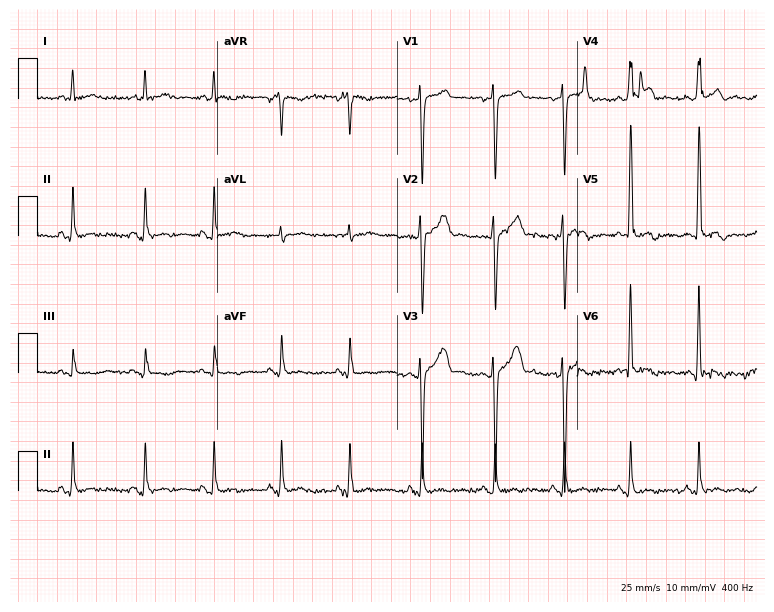
Electrocardiogram, a woman, 25 years old. Of the six screened findings (first-degree AV block, right bundle branch block, left bundle branch block, sinus bradycardia, atrial fibrillation, sinus tachycardia), none is recorded. Findings outside these six are not listed.